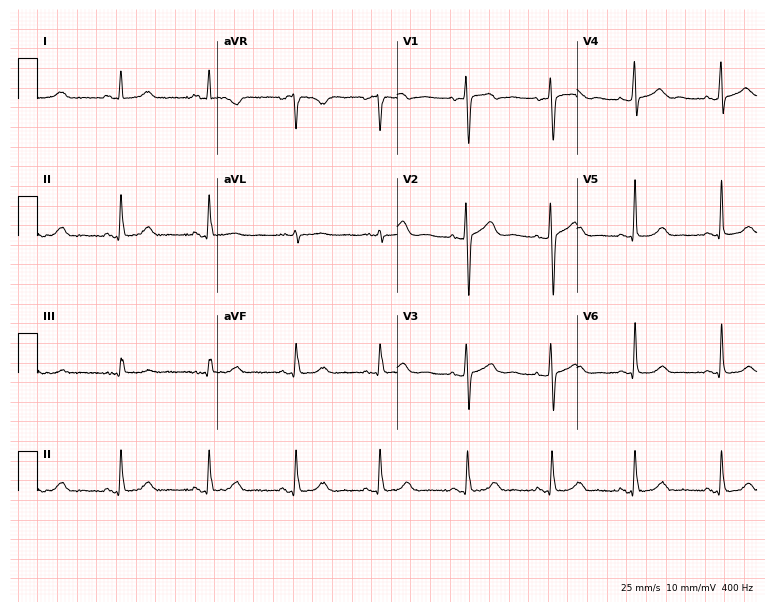
Standard 12-lead ECG recorded from a female, 42 years old (7.3-second recording at 400 Hz). None of these six findings is recorded: first-degree AV block, right bundle branch block, left bundle branch block, sinus bradycardia, atrial fibrillation, sinus tachycardia. Other findings, if any, are not listed.